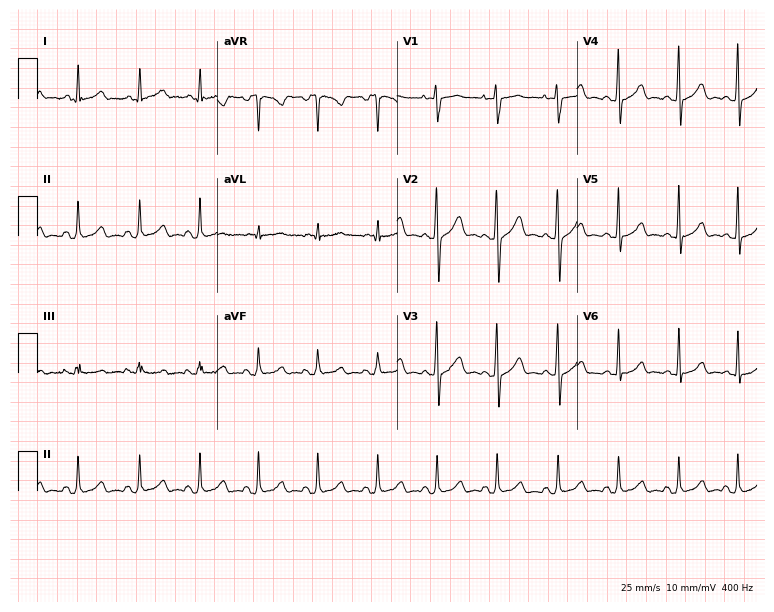
Standard 12-lead ECG recorded from a 31-year-old female (7.3-second recording at 400 Hz). Read as a normal ECG.